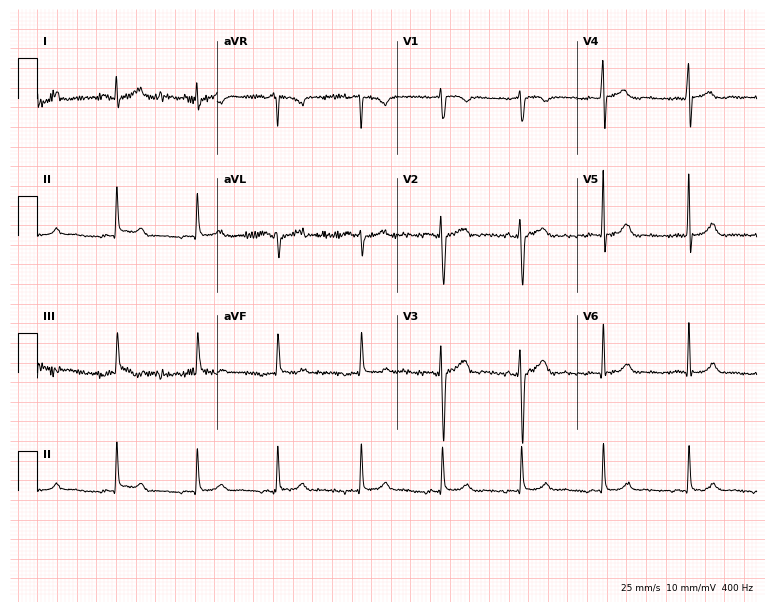
Standard 12-lead ECG recorded from a female patient, 23 years old (7.3-second recording at 400 Hz). Read as a normal ECG.